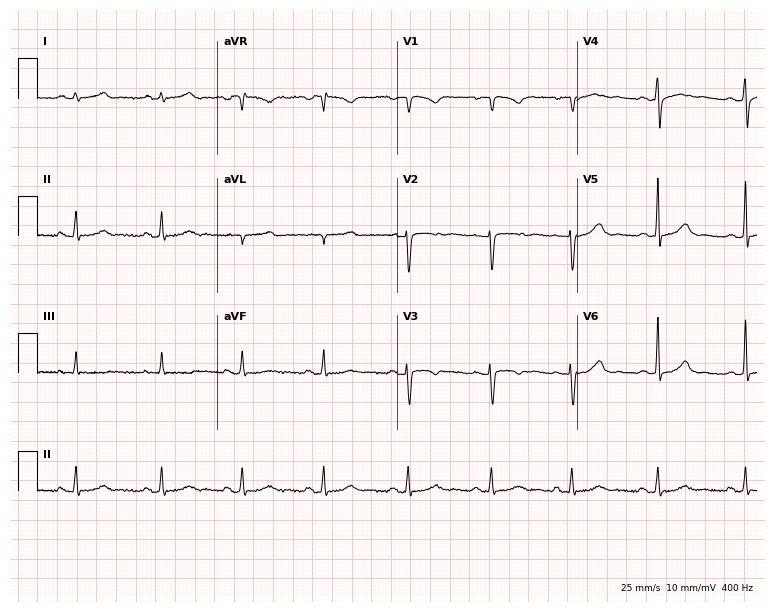
Standard 12-lead ECG recorded from a 25-year-old female patient. None of these six findings is recorded: first-degree AV block, right bundle branch block (RBBB), left bundle branch block (LBBB), sinus bradycardia, atrial fibrillation (AF), sinus tachycardia.